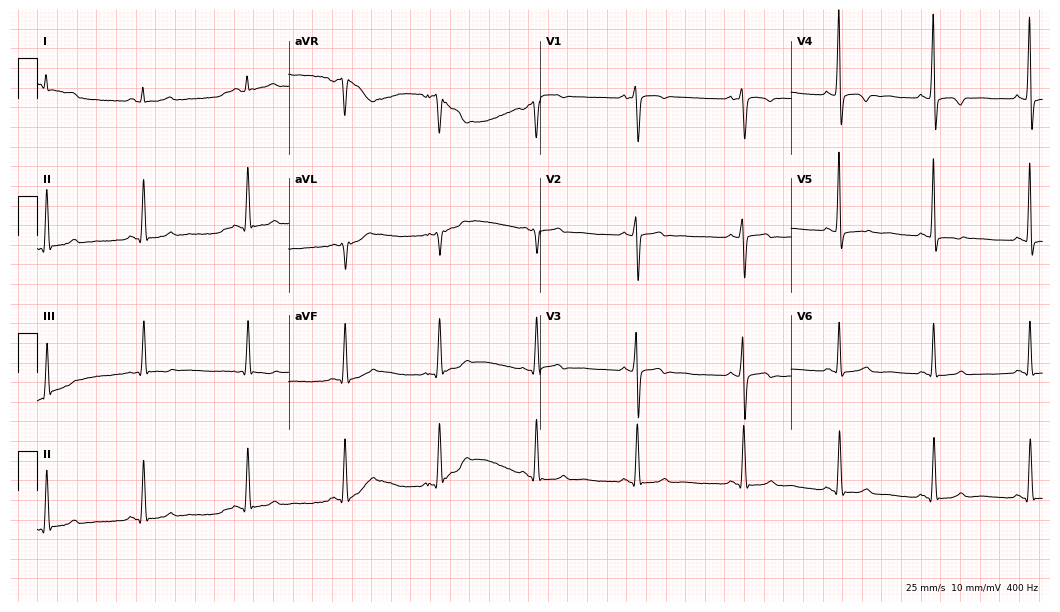
ECG — a 31-year-old male patient. Screened for six findings — first-degree AV block, right bundle branch block (RBBB), left bundle branch block (LBBB), sinus bradycardia, atrial fibrillation (AF), sinus tachycardia — none is recorded.